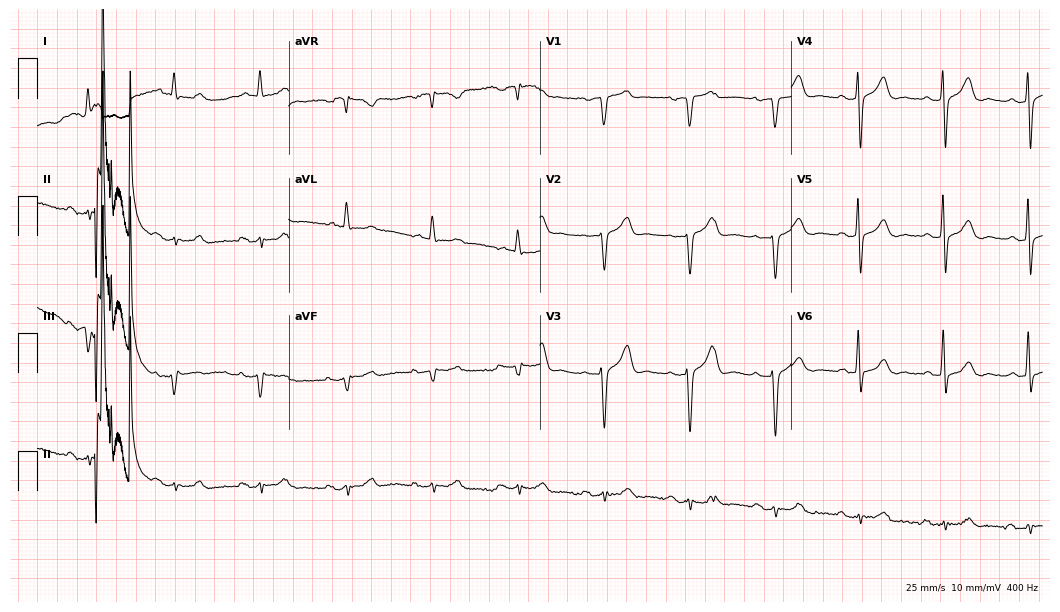
12-lead ECG from a 73-year-old male. Screened for six findings — first-degree AV block, right bundle branch block, left bundle branch block, sinus bradycardia, atrial fibrillation, sinus tachycardia — none is recorded.